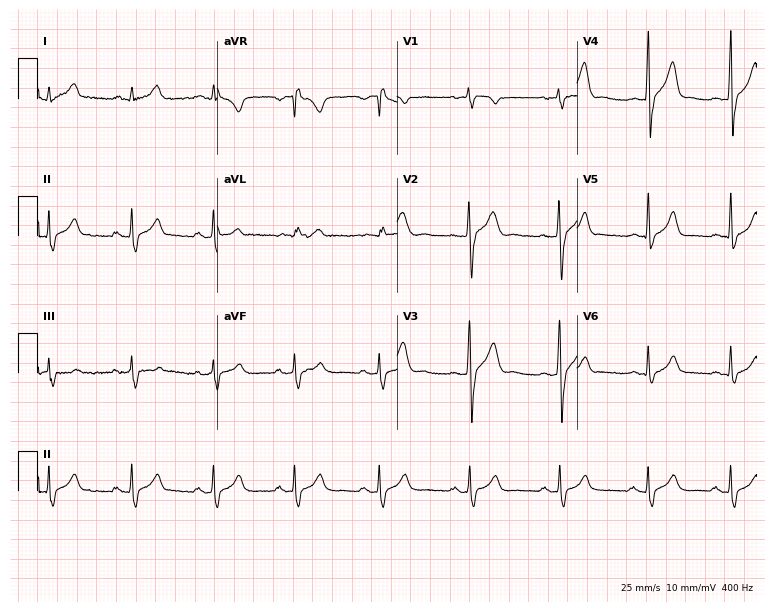
ECG — a man, 21 years old. Labelled as a normal ECG.